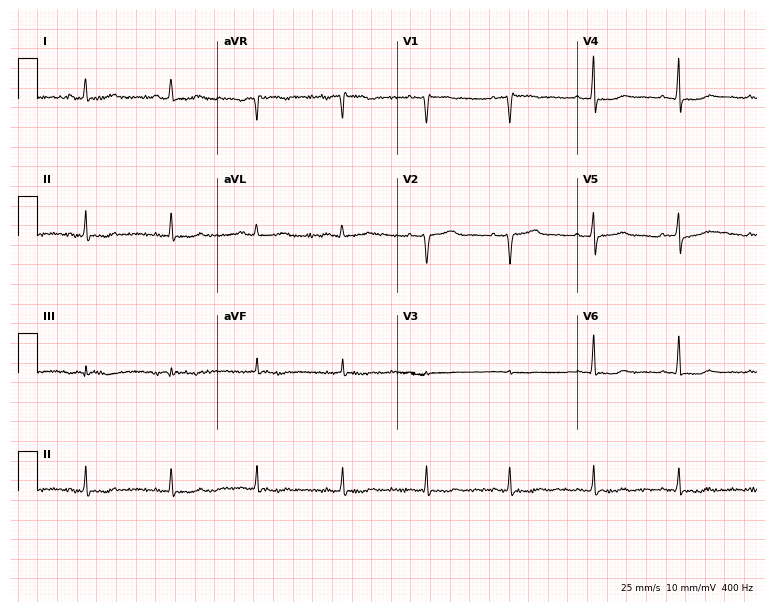
Standard 12-lead ECG recorded from a 53-year-old woman (7.3-second recording at 400 Hz). None of these six findings is recorded: first-degree AV block, right bundle branch block (RBBB), left bundle branch block (LBBB), sinus bradycardia, atrial fibrillation (AF), sinus tachycardia. Findings outside these six are not listed.